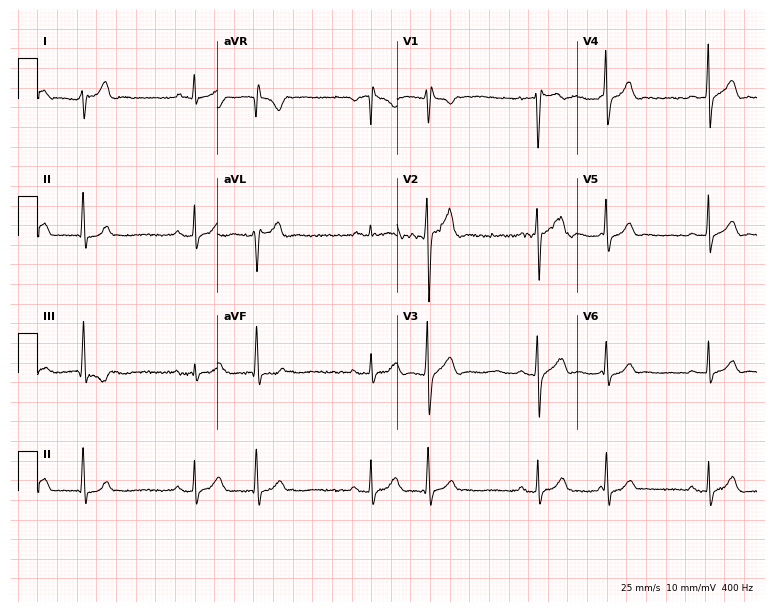
12-lead ECG from a man, 27 years old (7.3-second recording at 400 Hz). No first-degree AV block, right bundle branch block, left bundle branch block, sinus bradycardia, atrial fibrillation or sinus tachycardia recorded for this tracing.